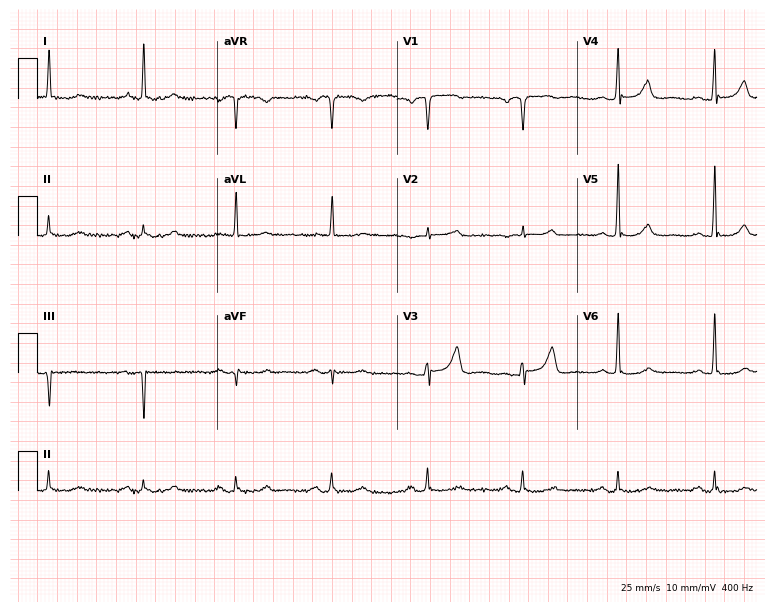
Resting 12-lead electrocardiogram (7.3-second recording at 400 Hz). Patient: a 69-year-old female. Read as a normal ECG.